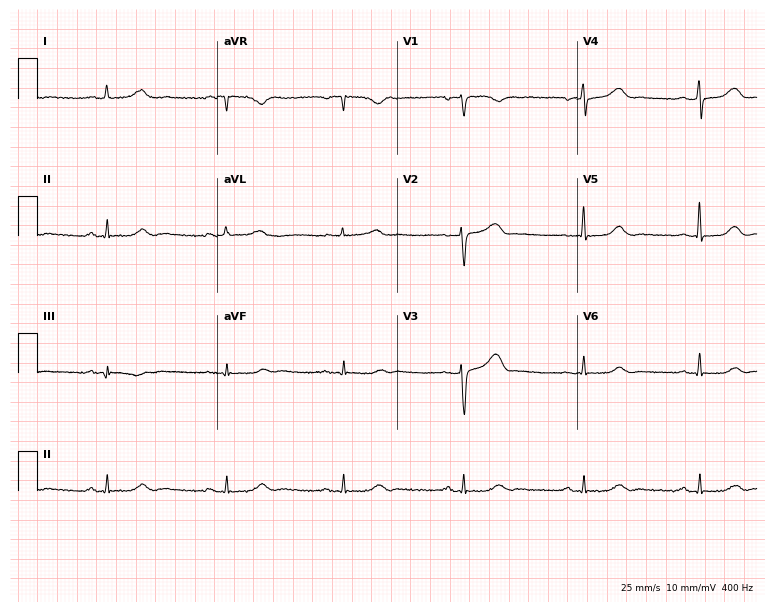
Electrocardiogram, a 56-year-old female patient. Of the six screened findings (first-degree AV block, right bundle branch block (RBBB), left bundle branch block (LBBB), sinus bradycardia, atrial fibrillation (AF), sinus tachycardia), none is recorded.